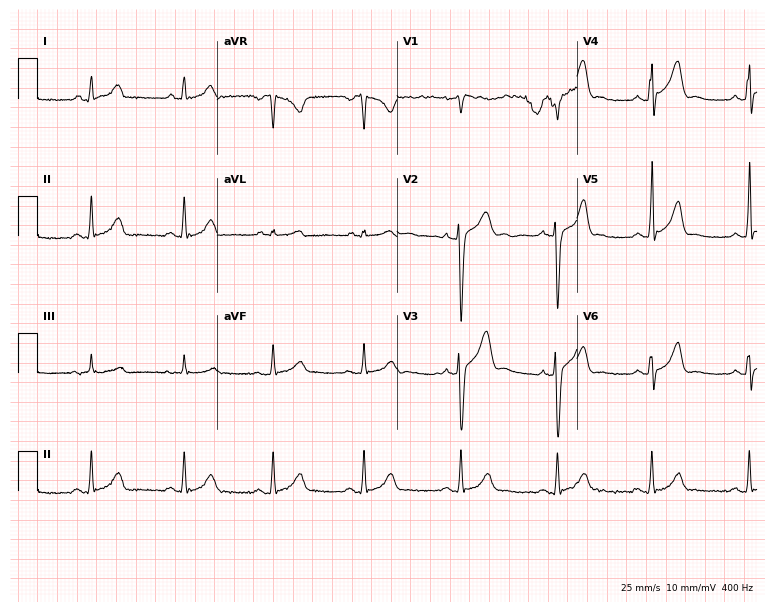
Resting 12-lead electrocardiogram (7.3-second recording at 400 Hz). Patient: a male, 31 years old. Read as a normal ECG.